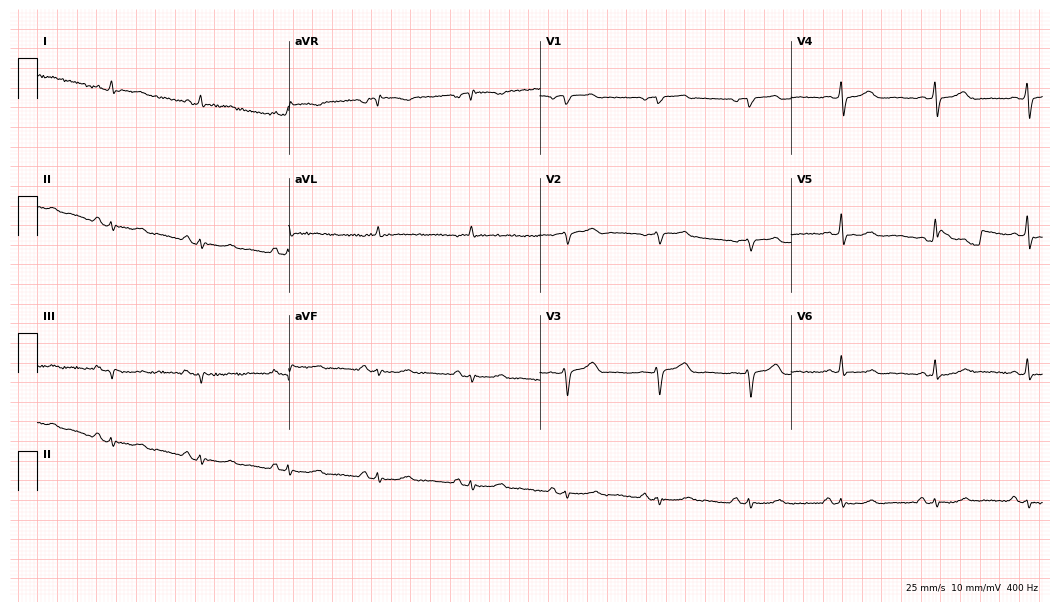
Electrocardiogram (10.2-second recording at 400 Hz), a male patient, 77 years old. Of the six screened findings (first-degree AV block, right bundle branch block, left bundle branch block, sinus bradycardia, atrial fibrillation, sinus tachycardia), none is recorded. Only these six findings were labelled.